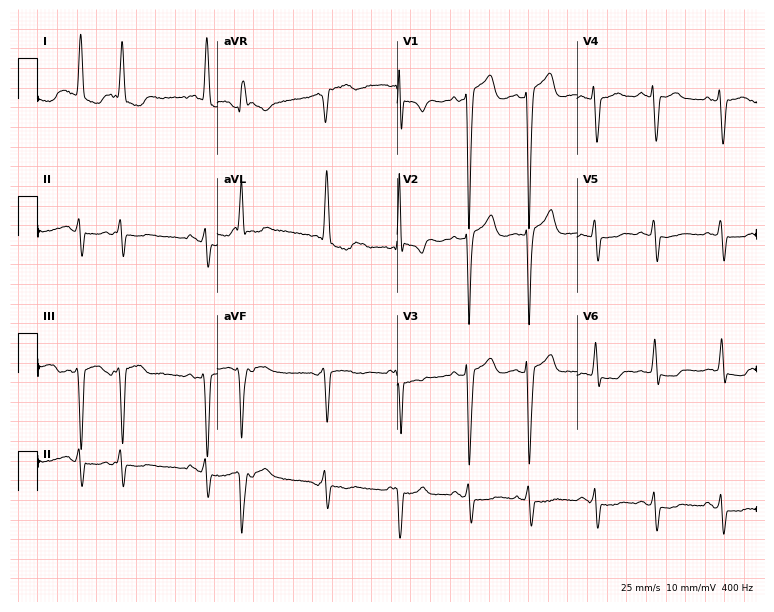
12-lead ECG from a man, 74 years old (7.3-second recording at 400 Hz). No first-degree AV block, right bundle branch block, left bundle branch block, sinus bradycardia, atrial fibrillation or sinus tachycardia recorded for this tracing. Findings outside these six are not listed.